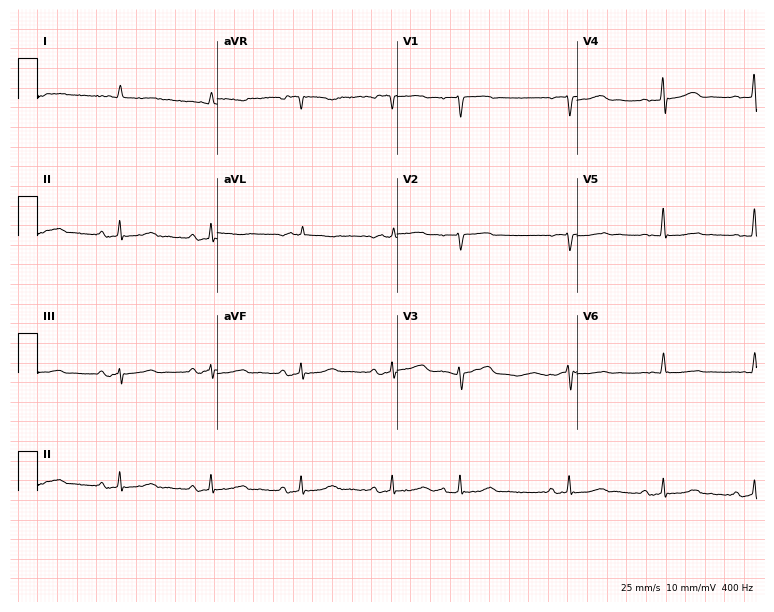
Electrocardiogram, a man, 71 years old. Of the six screened findings (first-degree AV block, right bundle branch block (RBBB), left bundle branch block (LBBB), sinus bradycardia, atrial fibrillation (AF), sinus tachycardia), none is recorded.